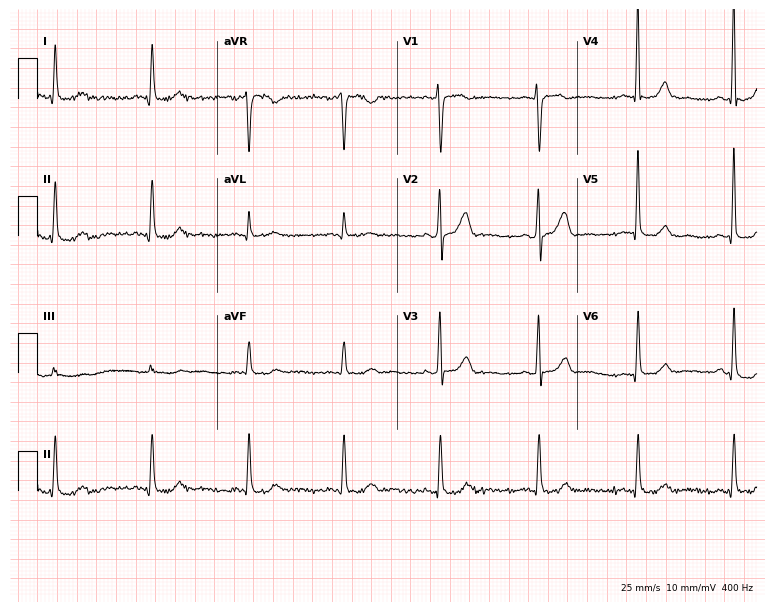
Standard 12-lead ECG recorded from a female patient, 62 years old. Read as a normal ECG.